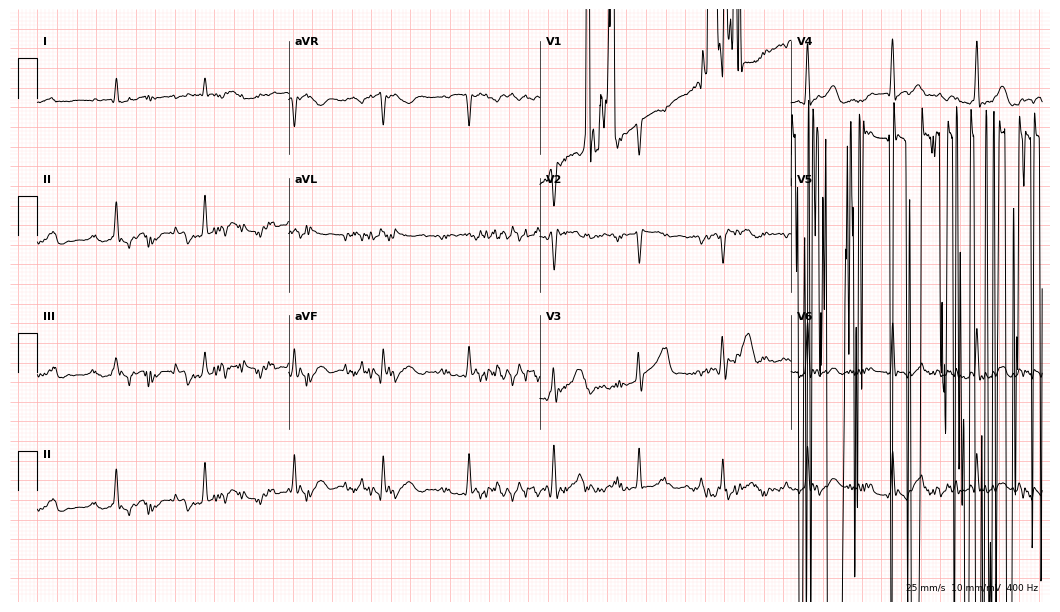
Resting 12-lead electrocardiogram. Patient: a man, 64 years old. None of these six findings is recorded: first-degree AV block, right bundle branch block (RBBB), left bundle branch block (LBBB), sinus bradycardia, atrial fibrillation (AF), sinus tachycardia. Findings outside these six are not listed.